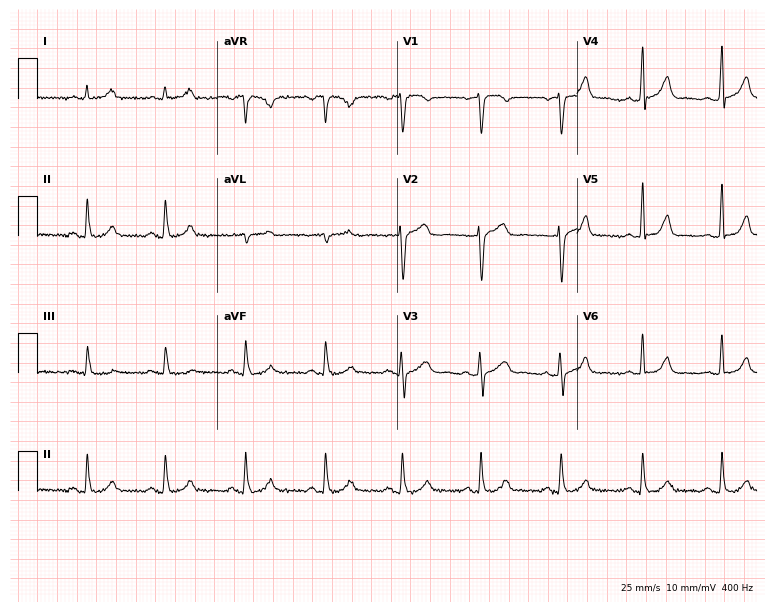
Standard 12-lead ECG recorded from a man, 54 years old. Read as a normal ECG.